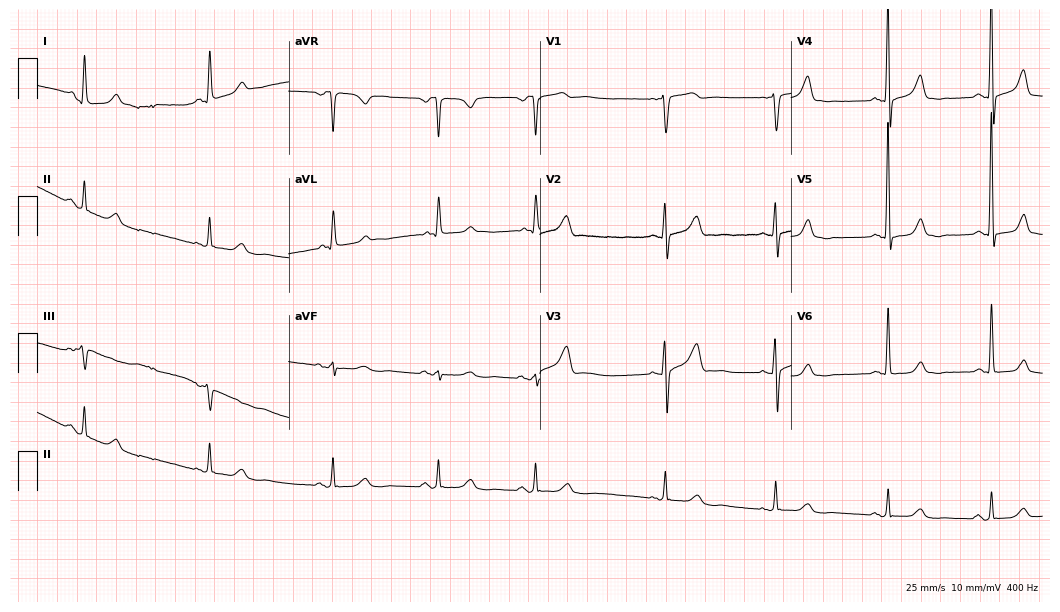
ECG — a female patient, 78 years old. Labelled as a normal ECG.